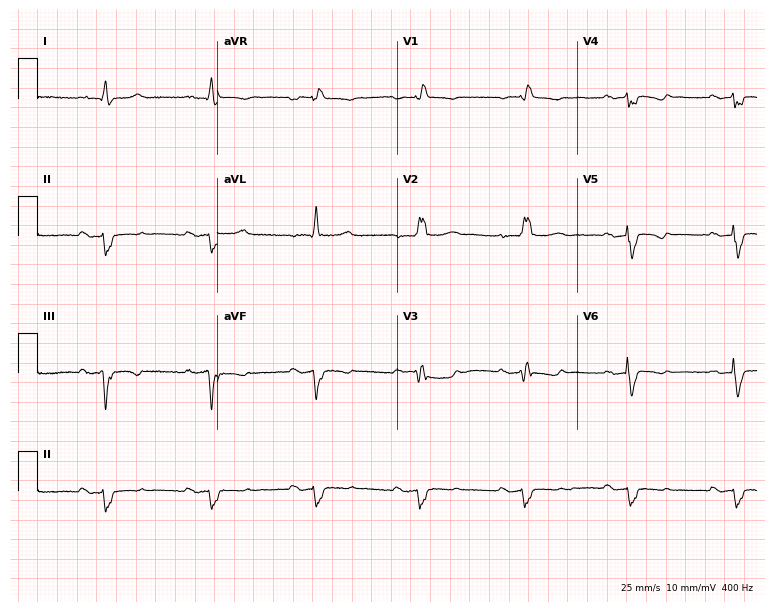
Standard 12-lead ECG recorded from a man, 67 years old. The tracing shows first-degree AV block, right bundle branch block.